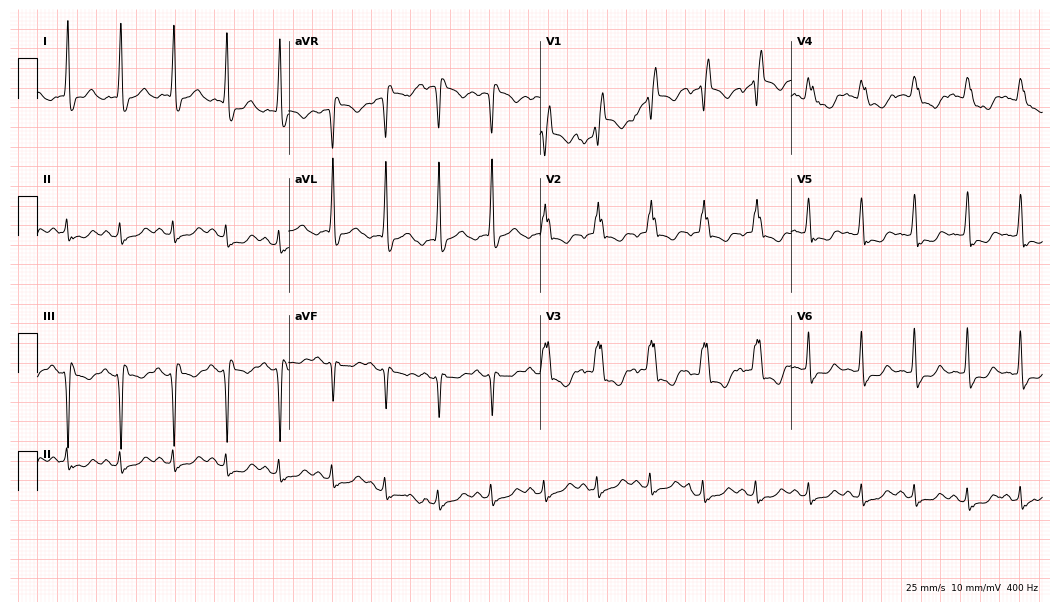
12-lead ECG from a 71-year-old female. Findings include right bundle branch block, sinus tachycardia (a sinus rate of 100 beats per minute or more).